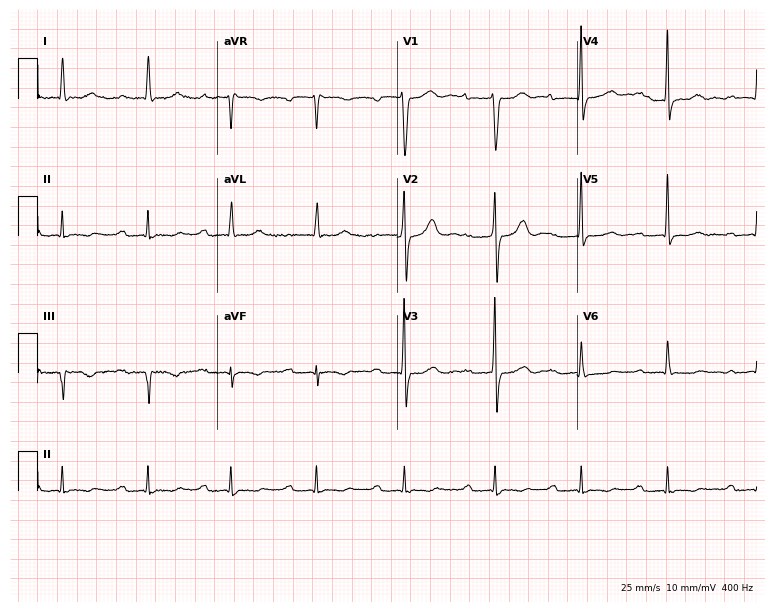
12-lead ECG from a woman, 65 years old (7.3-second recording at 400 Hz). Shows first-degree AV block.